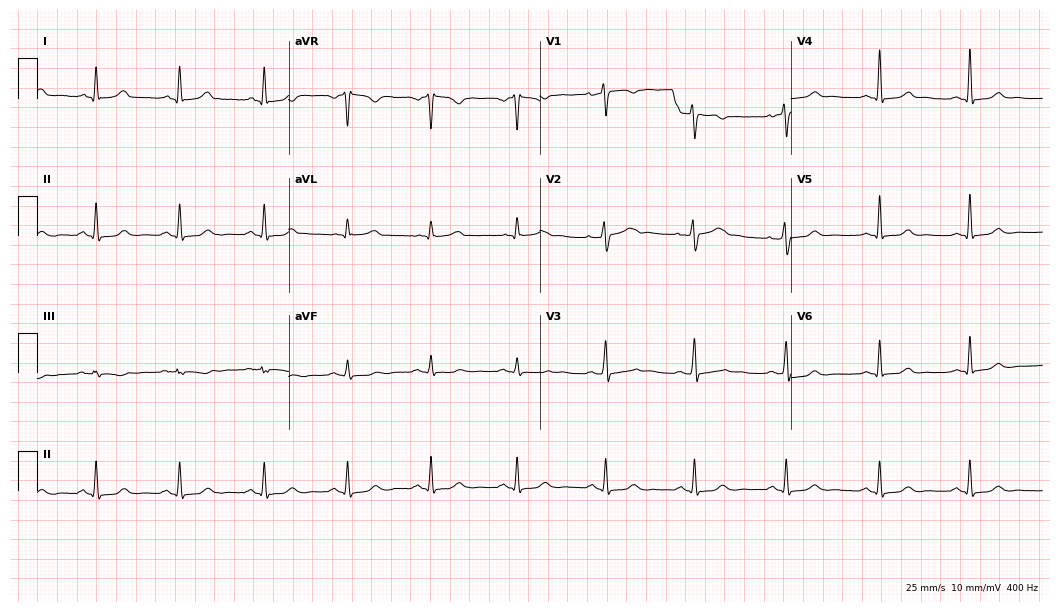
12-lead ECG from a female, 44 years old. No first-degree AV block, right bundle branch block, left bundle branch block, sinus bradycardia, atrial fibrillation or sinus tachycardia recorded for this tracing.